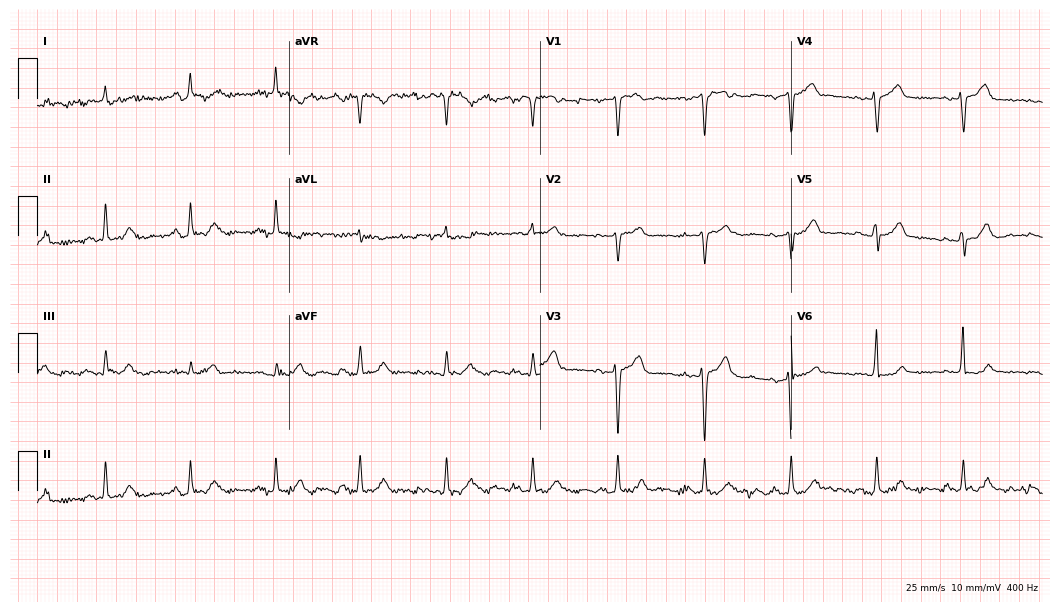
Electrocardiogram (10.2-second recording at 400 Hz), a 74-year-old woman. Of the six screened findings (first-degree AV block, right bundle branch block, left bundle branch block, sinus bradycardia, atrial fibrillation, sinus tachycardia), none is recorded.